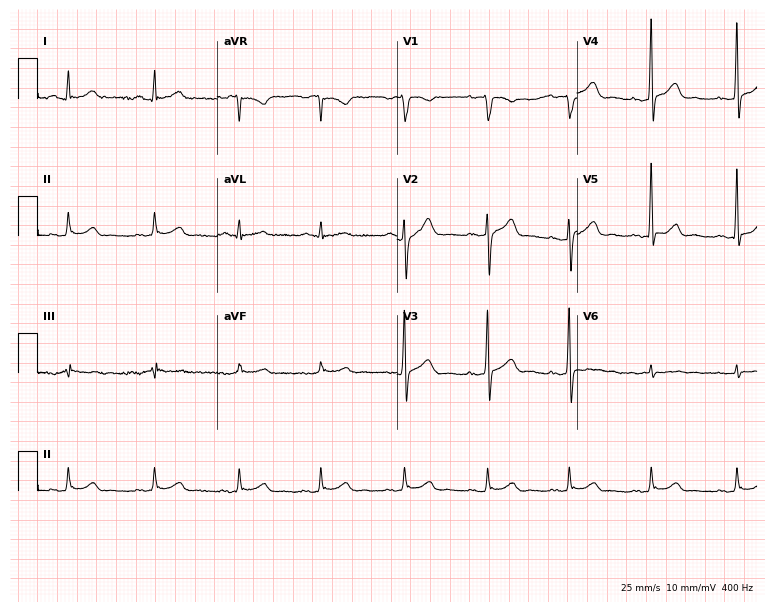
Standard 12-lead ECG recorded from a 39-year-old man. Read as a normal ECG.